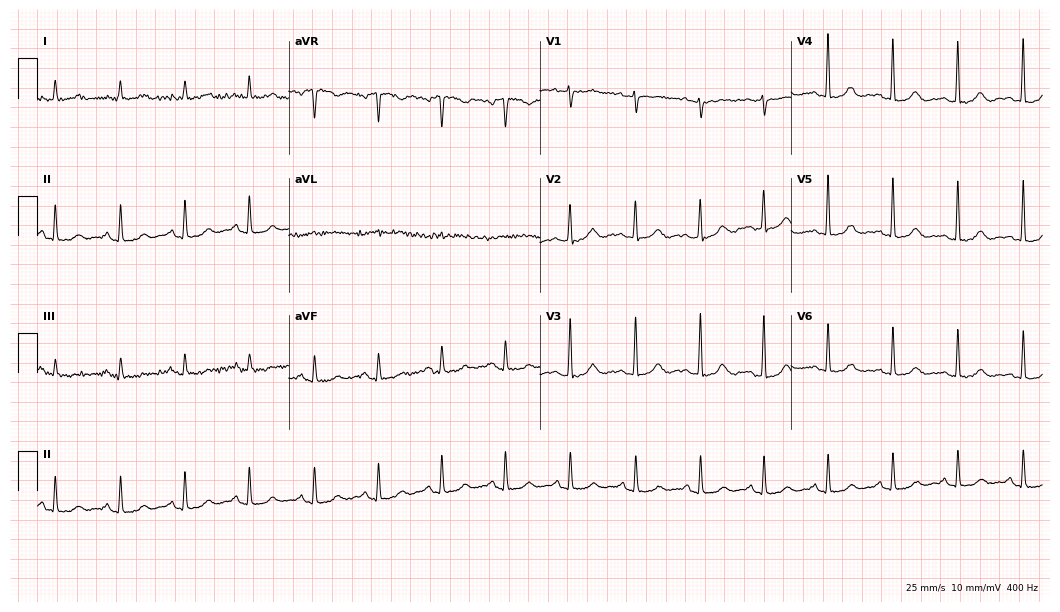
12-lead ECG from a 65-year-old female patient. Labelled as a normal ECG.